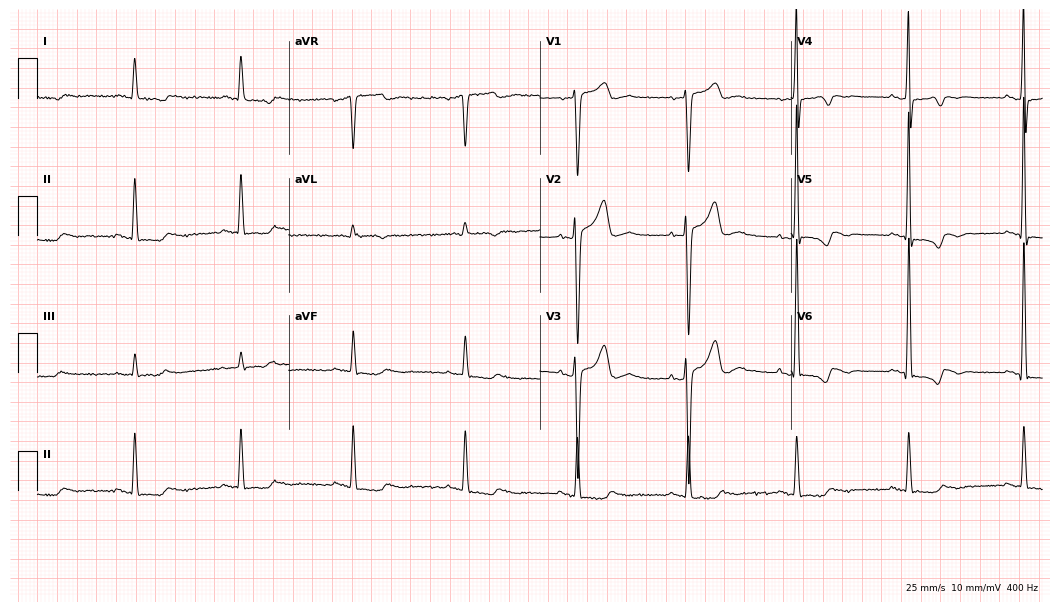
12-lead ECG from a man, 76 years old (10.2-second recording at 400 Hz). No first-degree AV block, right bundle branch block (RBBB), left bundle branch block (LBBB), sinus bradycardia, atrial fibrillation (AF) or sinus tachycardia recorded for this tracing.